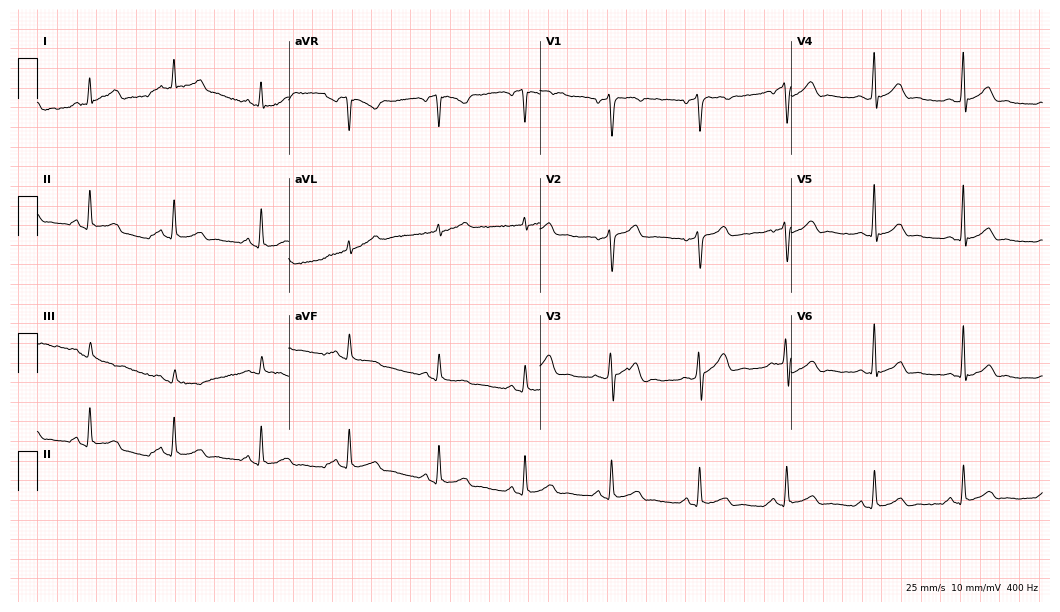
12-lead ECG from a male, 35 years old. Recorded interpretation: within normal limits.